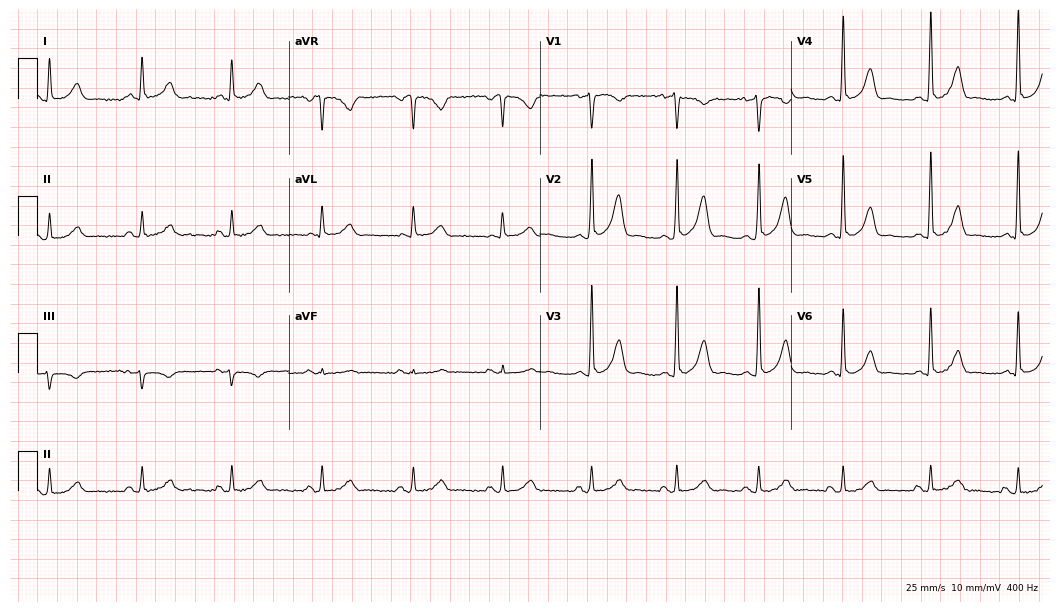
Electrocardiogram, a male patient, 60 years old. Of the six screened findings (first-degree AV block, right bundle branch block (RBBB), left bundle branch block (LBBB), sinus bradycardia, atrial fibrillation (AF), sinus tachycardia), none is recorded. Other findings, if any, are not listed.